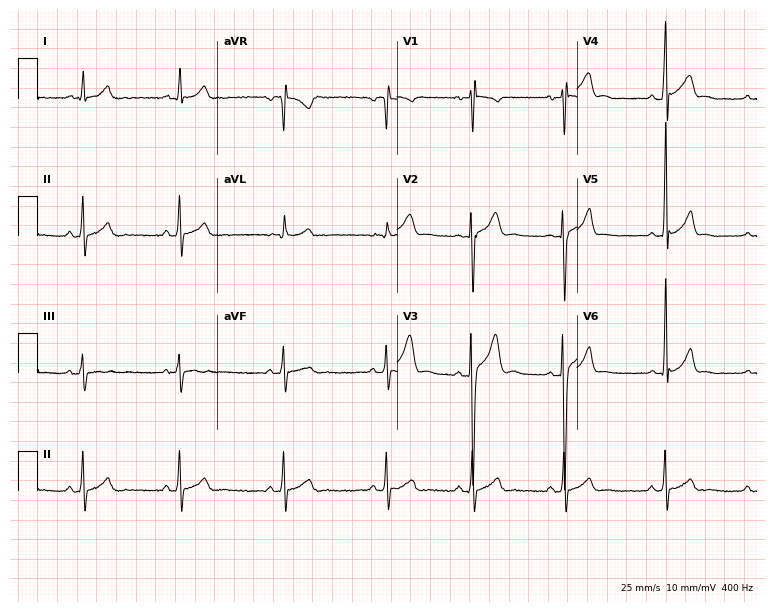
12-lead ECG from a male patient, 18 years old (7.3-second recording at 400 Hz). Recorded interpretation: within normal limits.